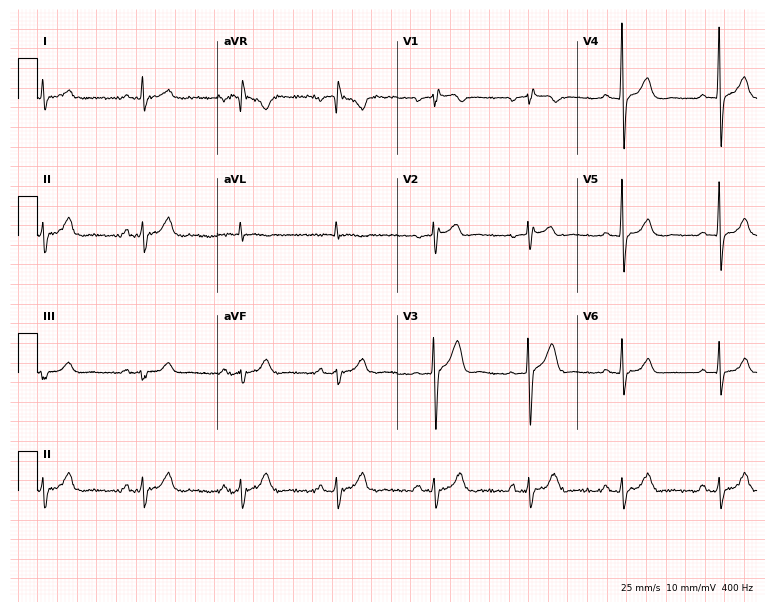
ECG (7.3-second recording at 400 Hz) — a male, 43 years old. Screened for six findings — first-degree AV block, right bundle branch block, left bundle branch block, sinus bradycardia, atrial fibrillation, sinus tachycardia — none is recorded. Findings outside these six are not listed.